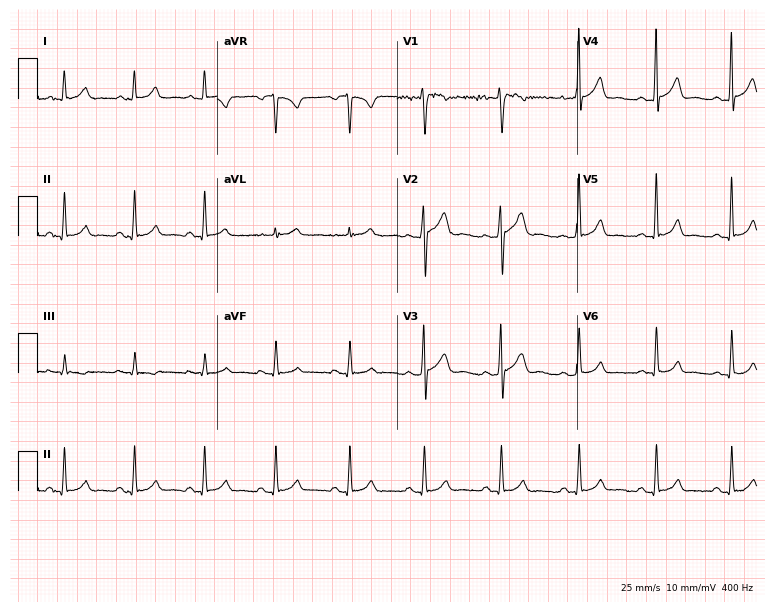
Standard 12-lead ECG recorded from a man, 27 years old. Read as a normal ECG.